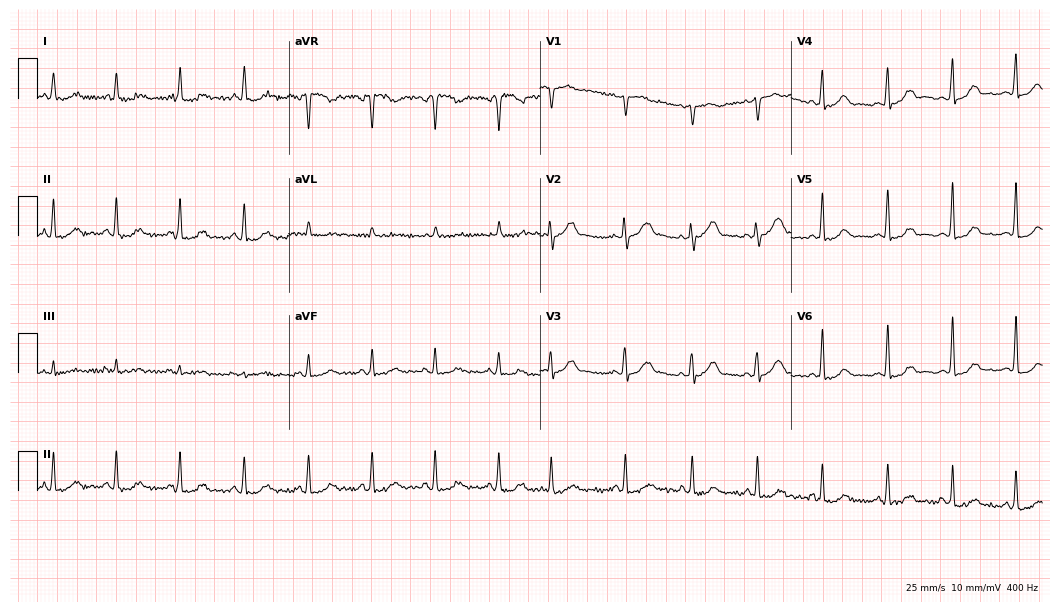
Electrocardiogram, a female, 72 years old. Of the six screened findings (first-degree AV block, right bundle branch block, left bundle branch block, sinus bradycardia, atrial fibrillation, sinus tachycardia), none is recorded.